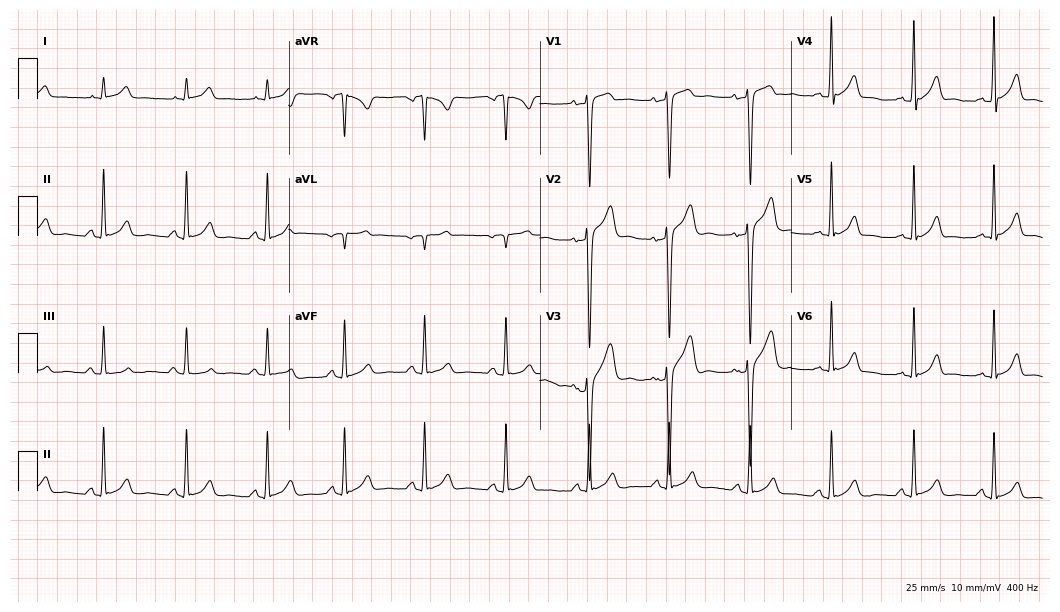
Electrocardiogram, a 42-year-old male patient. Overall reading on record: normal ECG.